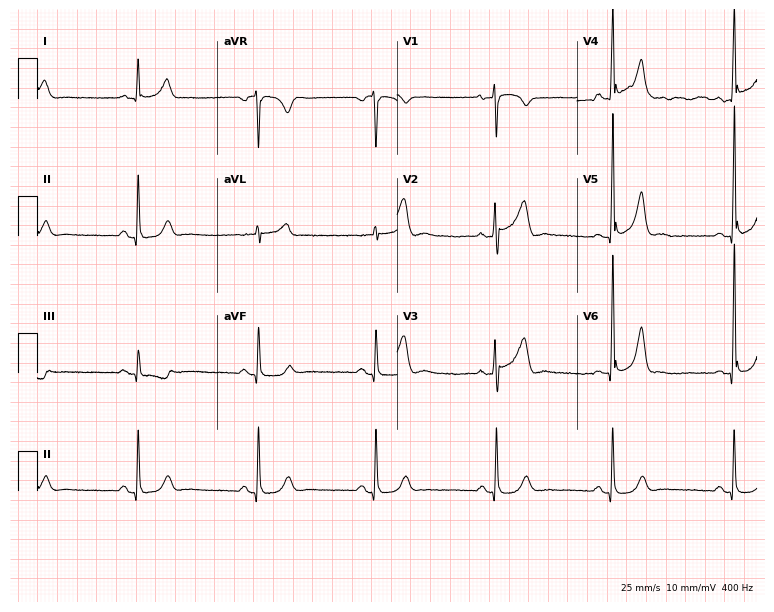
Electrocardiogram (7.3-second recording at 400 Hz), a 64-year-old male patient. Interpretation includes sinus bradycardia (a sinus rate of 50 beats per minute or less).